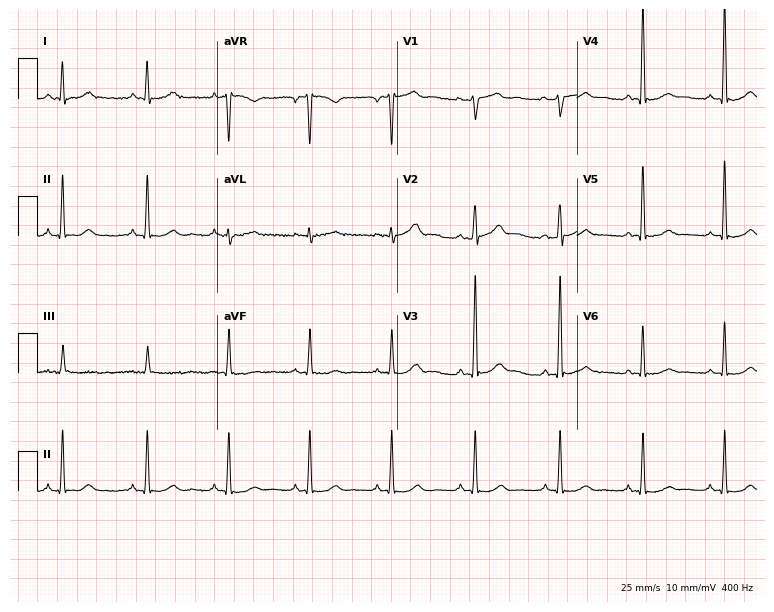
ECG (7.3-second recording at 400 Hz) — a 55-year-old male patient. Screened for six findings — first-degree AV block, right bundle branch block (RBBB), left bundle branch block (LBBB), sinus bradycardia, atrial fibrillation (AF), sinus tachycardia — none is recorded.